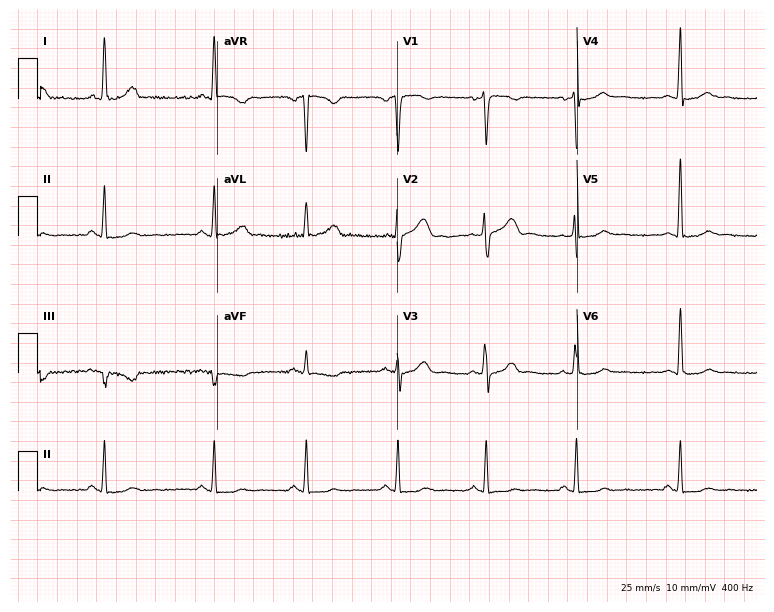
ECG (7.3-second recording at 400 Hz) — a woman, 44 years old. Labelled as a normal ECG.